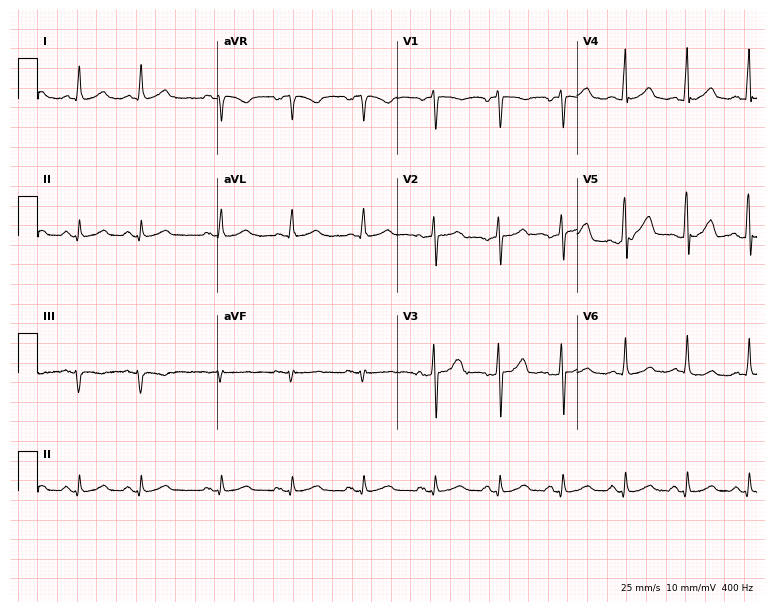
12-lead ECG from a male patient, 46 years old. Recorded interpretation: within normal limits.